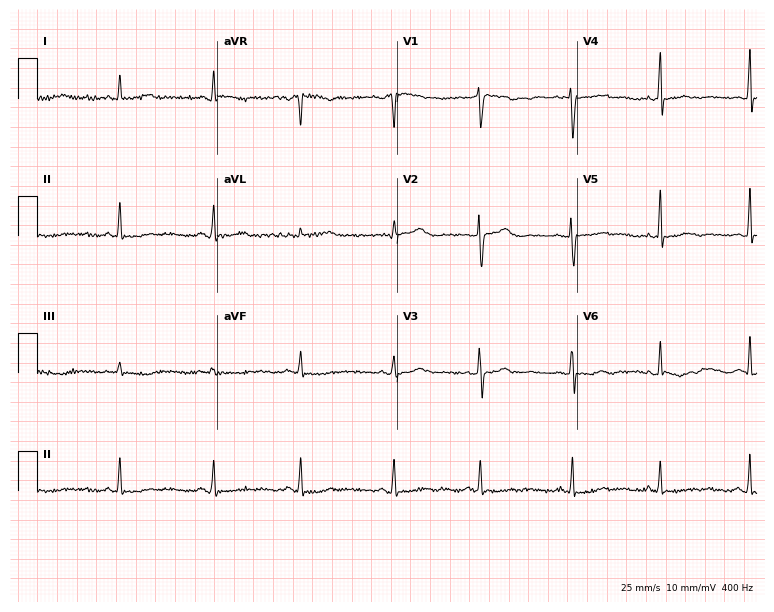
ECG — a female patient, 38 years old. Screened for six findings — first-degree AV block, right bundle branch block (RBBB), left bundle branch block (LBBB), sinus bradycardia, atrial fibrillation (AF), sinus tachycardia — none is recorded. Only these six findings were labelled.